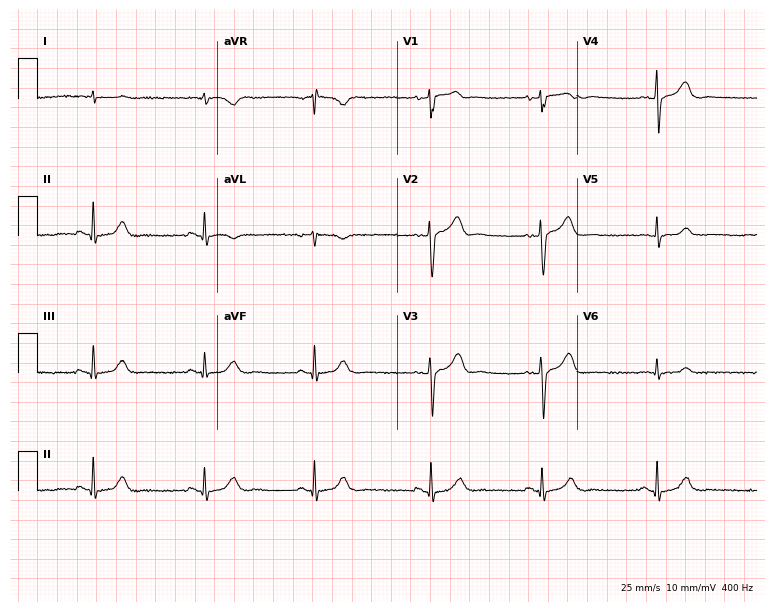
ECG (7.3-second recording at 400 Hz) — a male patient, 69 years old. Labelled as a normal ECG.